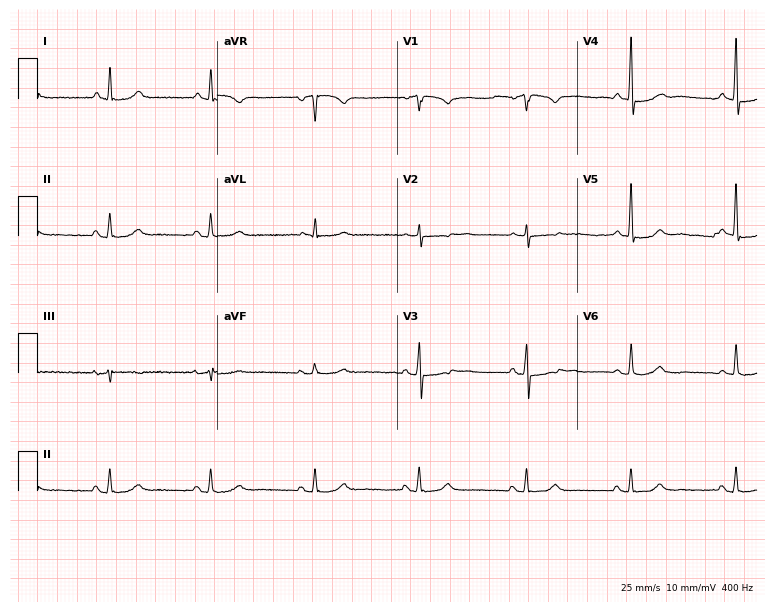
Electrocardiogram (7.3-second recording at 400 Hz), a male patient, 65 years old. Overall reading on record: normal ECG.